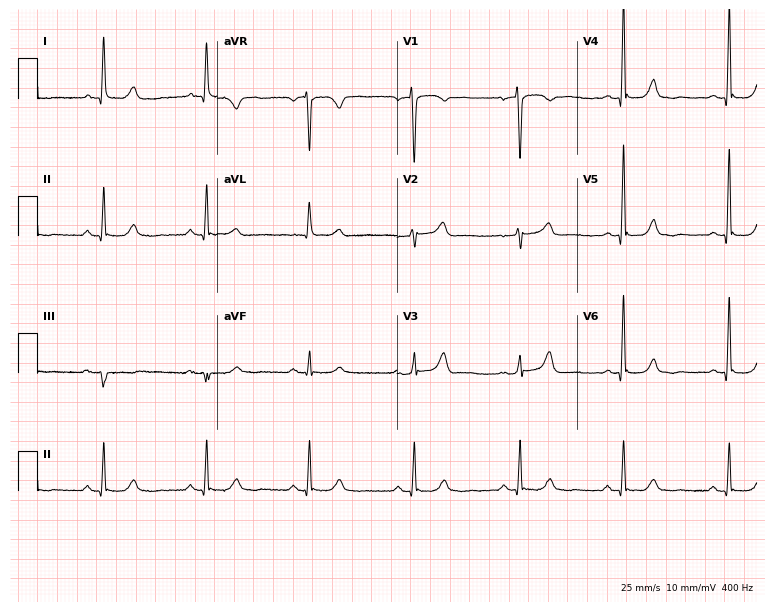
12-lead ECG from a 65-year-old female (7.3-second recording at 400 Hz). Recorded interpretation: within normal limits.